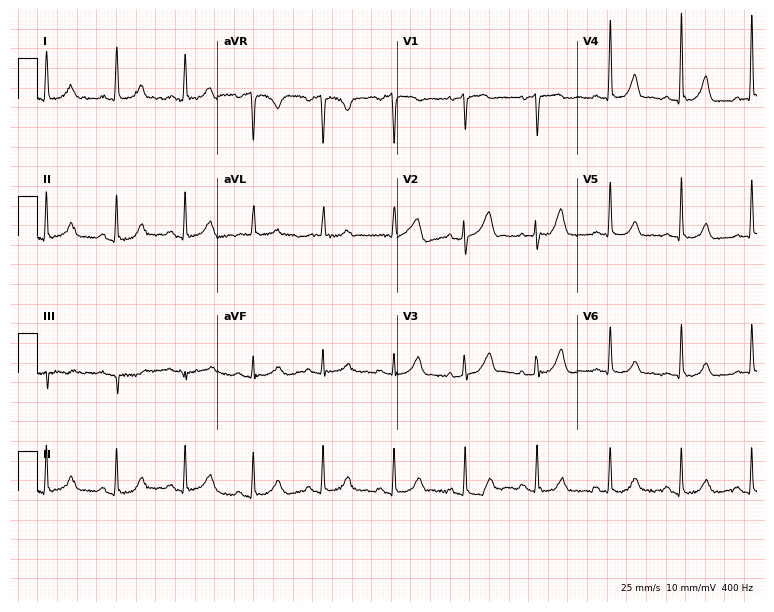
12-lead ECG (7.3-second recording at 400 Hz) from a woman, 83 years old. Labelled as a normal ECG.